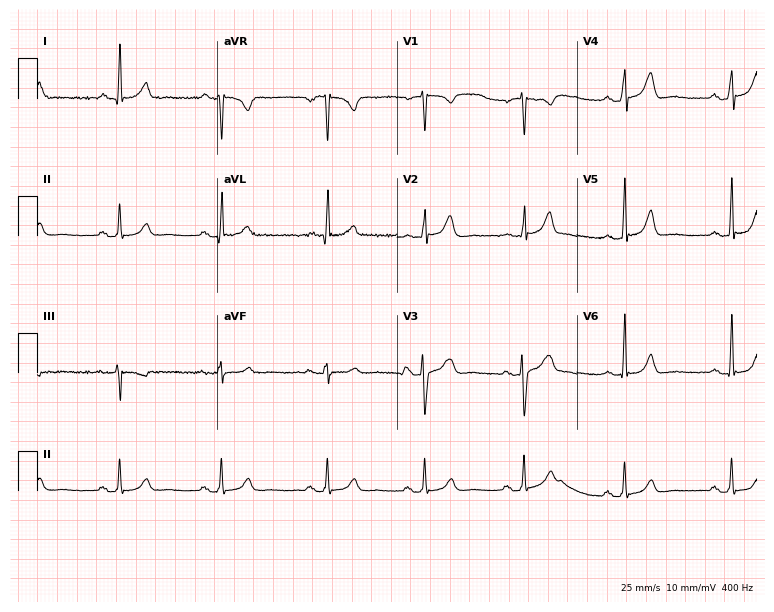
12-lead ECG from a 45-year-old female. Labelled as a normal ECG.